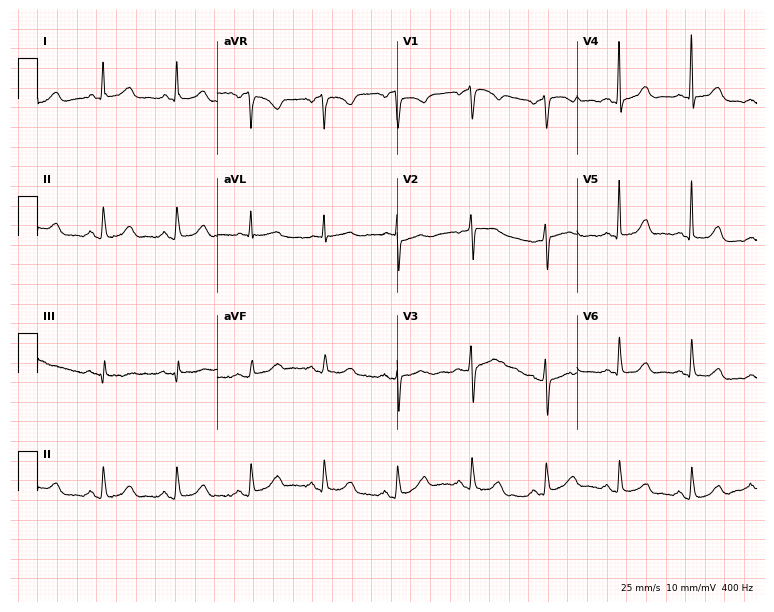
Electrocardiogram (7.3-second recording at 400 Hz), a woman, 56 years old. Overall reading on record: normal ECG.